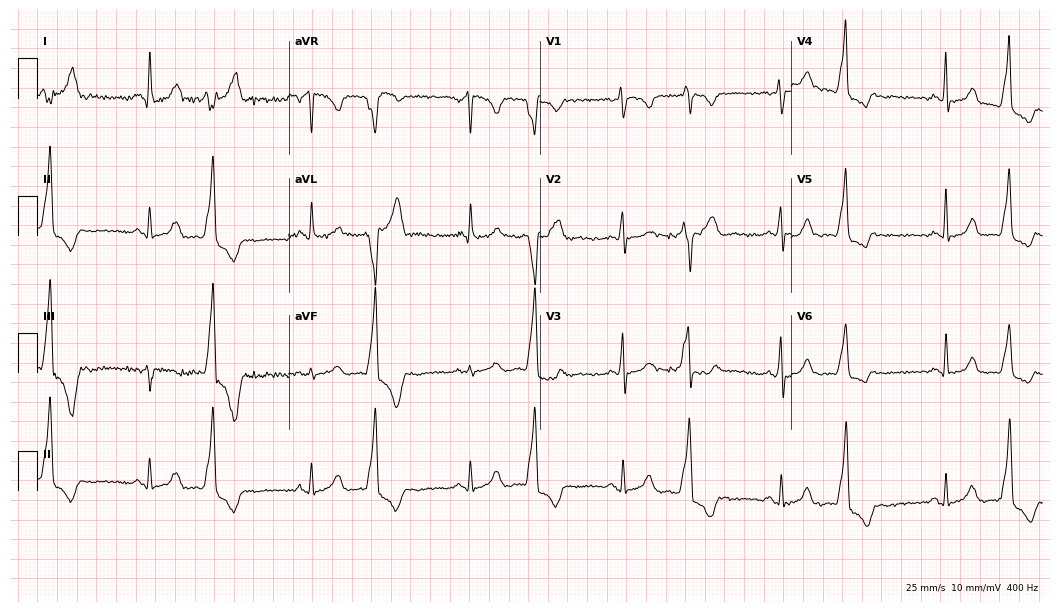
Resting 12-lead electrocardiogram. Patient: a woman, 32 years old. None of these six findings is recorded: first-degree AV block, right bundle branch block, left bundle branch block, sinus bradycardia, atrial fibrillation, sinus tachycardia.